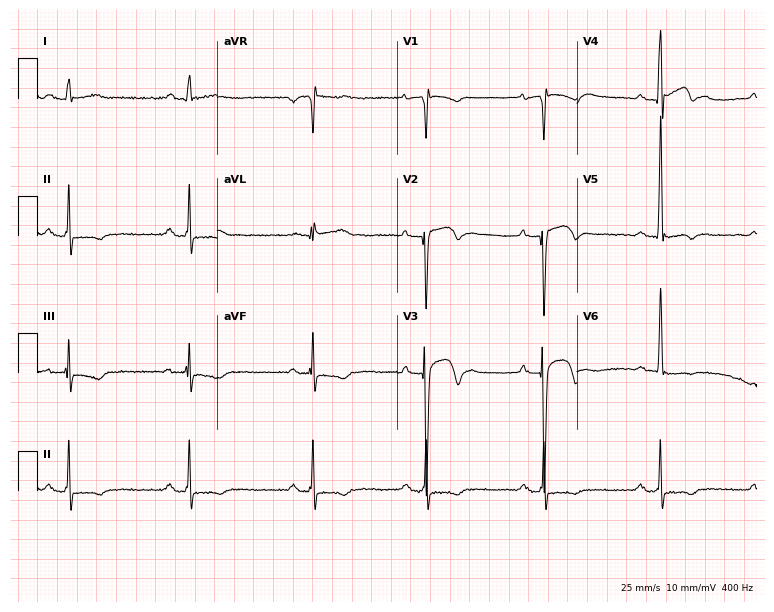
Standard 12-lead ECG recorded from a 33-year-old man (7.3-second recording at 400 Hz). The tracing shows first-degree AV block, right bundle branch block, sinus bradycardia (a sinus rate of 50 beats per minute or less).